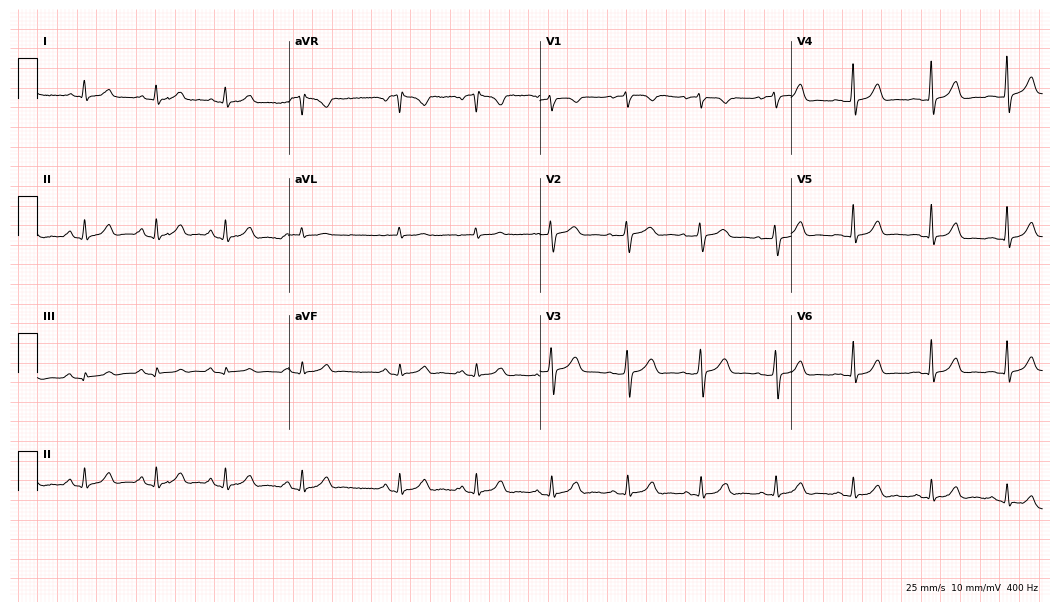
12-lead ECG from a female, 28 years old (10.2-second recording at 400 Hz). No first-degree AV block, right bundle branch block (RBBB), left bundle branch block (LBBB), sinus bradycardia, atrial fibrillation (AF) or sinus tachycardia recorded for this tracing. Other findings, if any, are not listed.